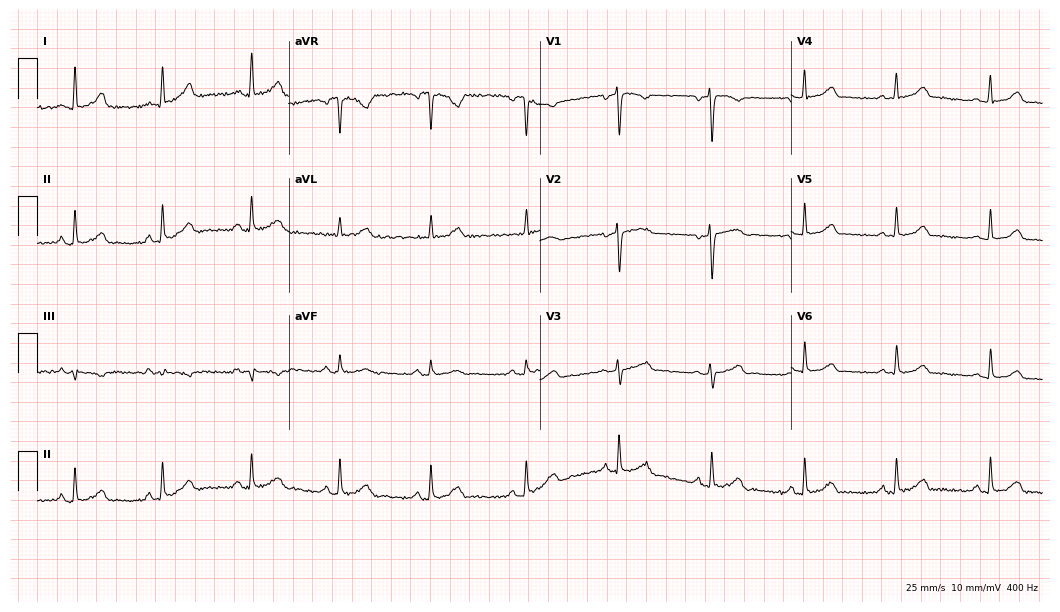
Resting 12-lead electrocardiogram. Patient: a woman, 37 years old. Read as a normal ECG.